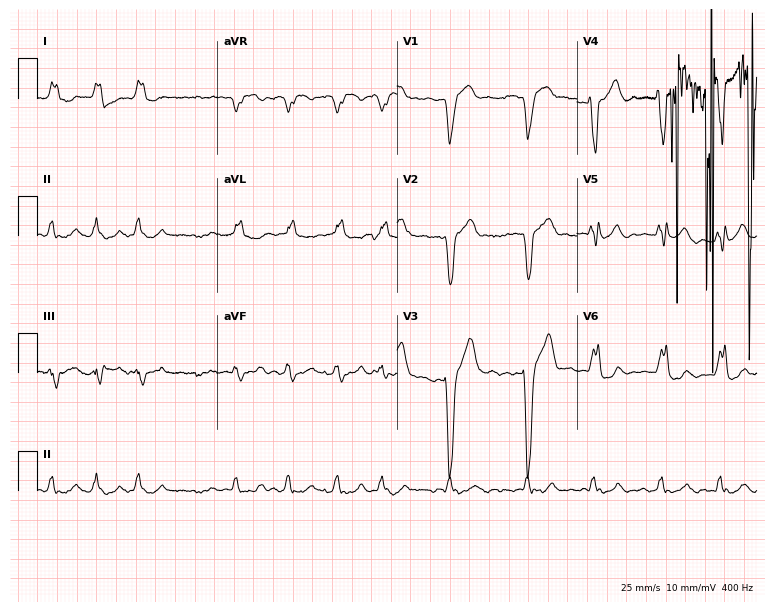
Resting 12-lead electrocardiogram. Patient: a 66-year-old man. The tracing shows left bundle branch block (LBBB), atrial fibrillation (AF).